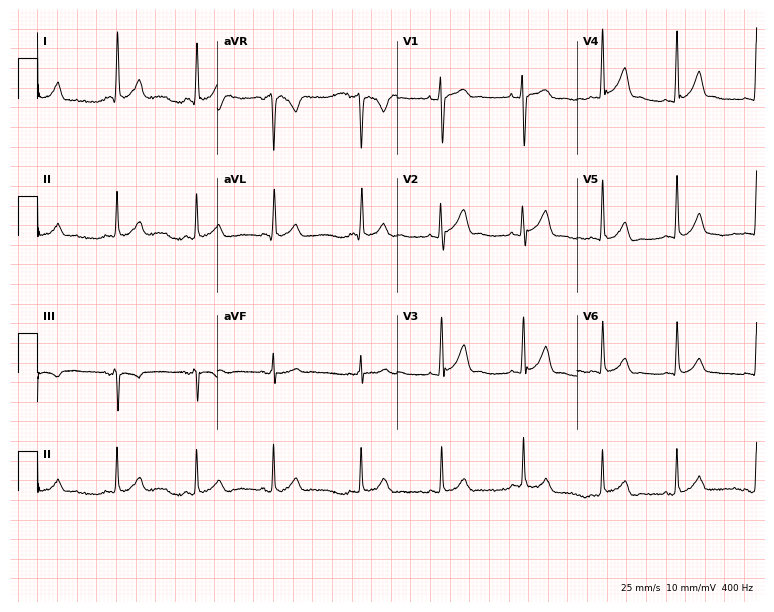
Electrocardiogram (7.3-second recording at 400 Hz), a 22-year-old man. Of the six screened findings (first-degree AV block, right bundle branch block, left bundle branch block, sinus bradycardia, atrial fibrillation, sinus tachycardia), none is recorded. Other findings, if any, are not listed.